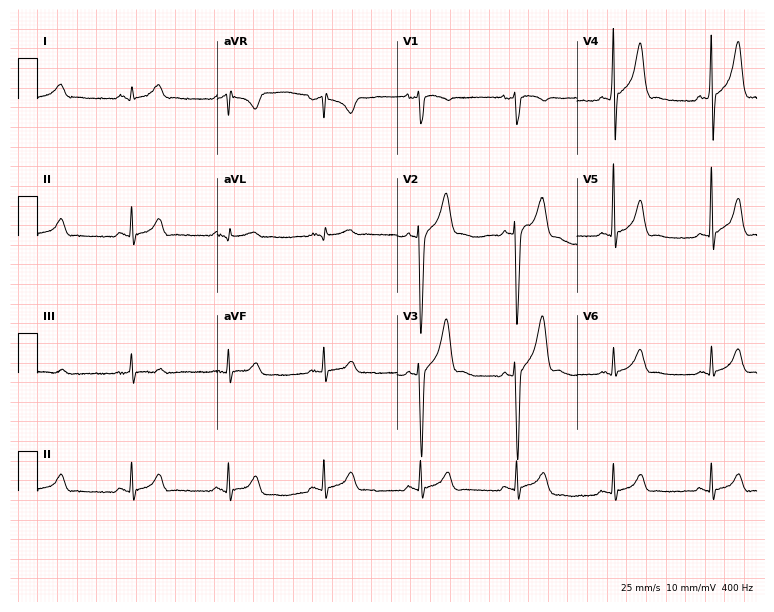
Standard 12-lead ECG recorded from a 45-year-old male (7.3-second recording at 400 Hz). None of these six findings is recorded: first-degree AV block, right bundle branch block (RBBB), left bundle branch block (LBBB), sinus bradycardia, atrial fibrillation (AF), sinus tachycardia.